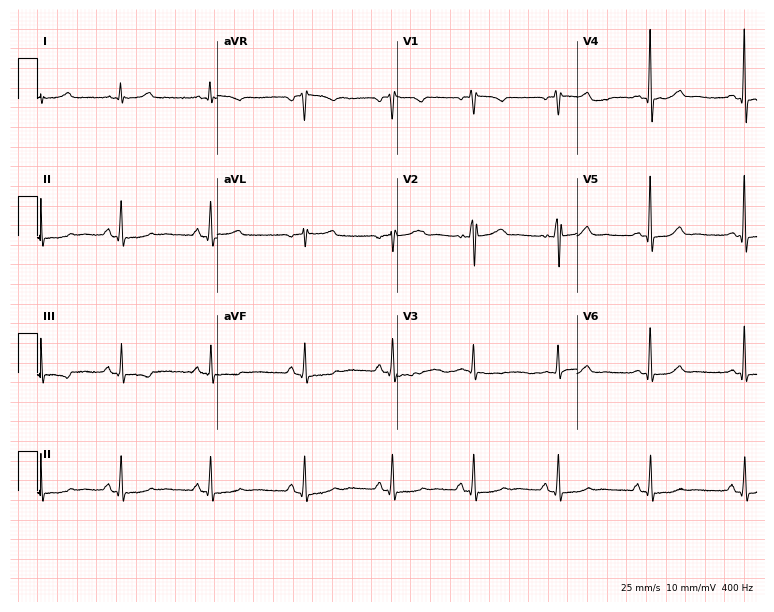
Resting 12-lead electrocardiogram. Patient: a female, 55 years old. None of these six findings is recorded: first-degree AV block, right bundle branch block, left bundle branch block, sinus bradycardia, atrial fibrillation, sinus tachycardia. Other findings, if any, are not listed.